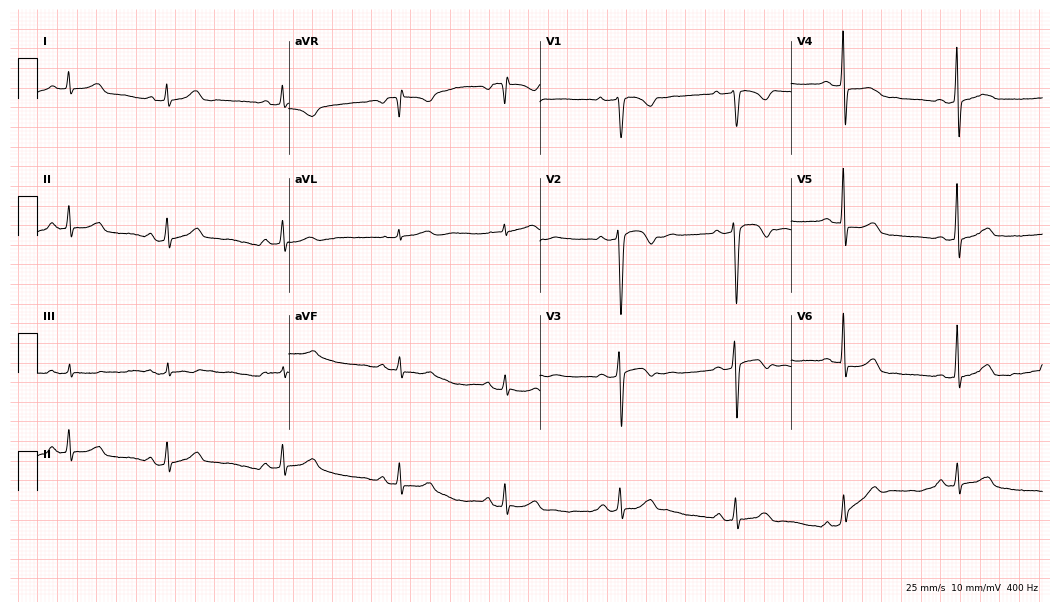
12-lead ECG (10.2-second recording at 400 Hz) from a 29-year-old female patient. Screened for six findings — first-degree AV block, right bundle branch block, left bundle branch block, sinus bradycardia, atrial fibrillation, sinus tachycardia — none is recorded. Findings outside these six are not listed.